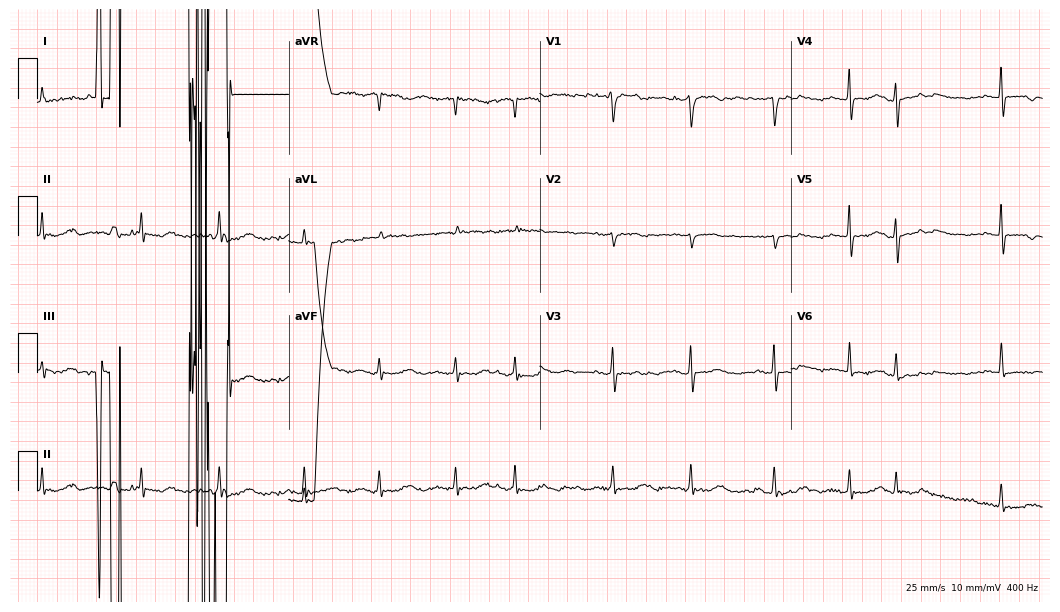
12-lead ECG from a female, 87 years old (10.2-second recording at 400 Hz). No first-degree AV block, right bundle branch block (RBBB), left bundle branch block (LBBB), sinus bradycardia, atrial fibrillation (AF) or sinus tachycardia recorded for this tracing.